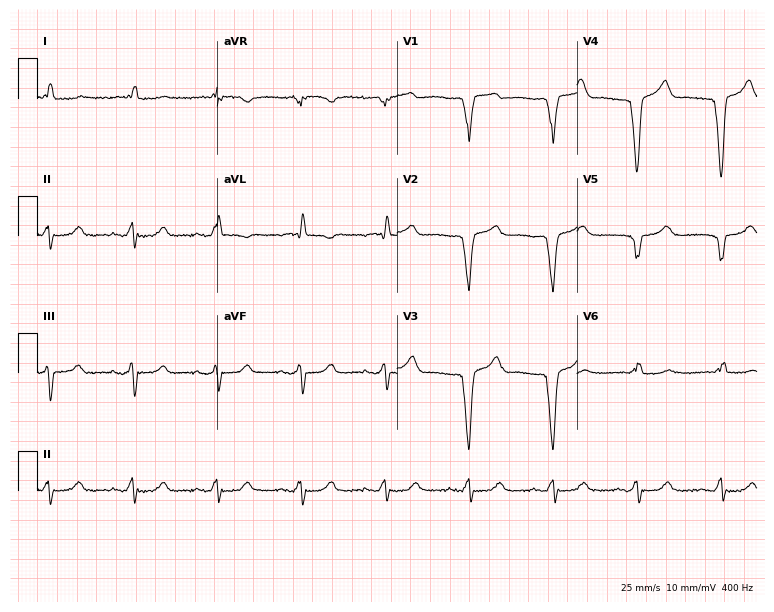
ECG — a female patient, 80 years old. Findings include left bundle branch block.